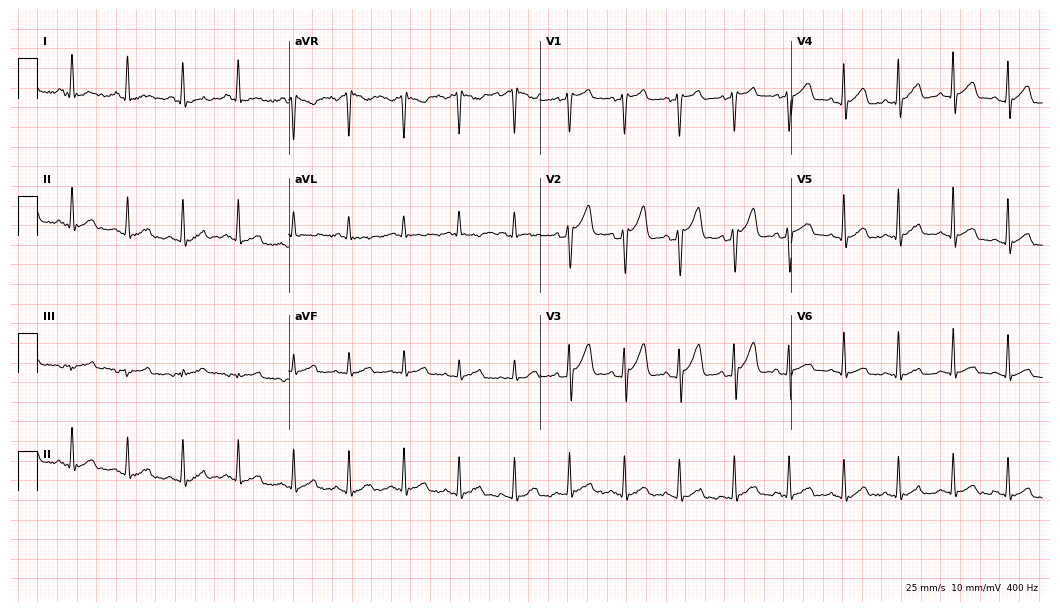
ECG — a 44-year-old male. Findings include sinus tachycardia (a sinus rate of 100 beats per minute or more).